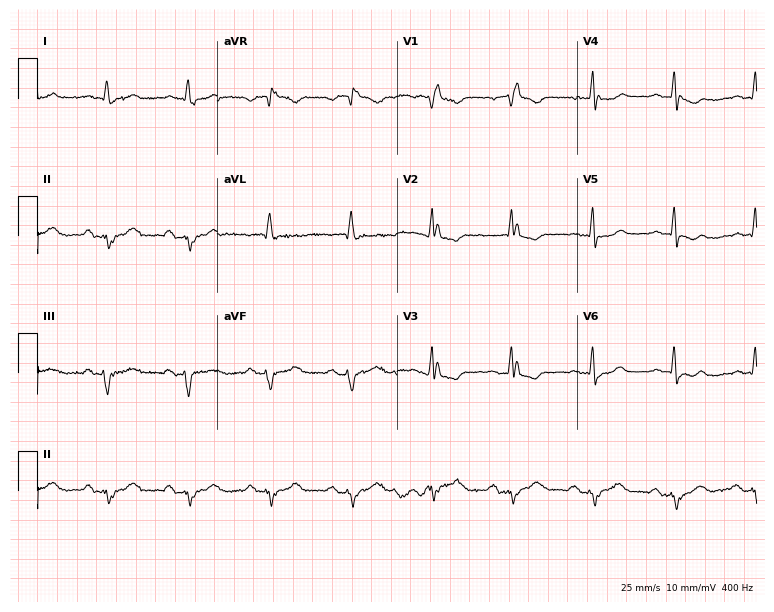
Resting 12-lead electrocardiogram (7.3-second recording at 400 Hz). Patient: a 76-year-old woman. The tracing shows first-degree AV block, right bundle branch block (RBBB).